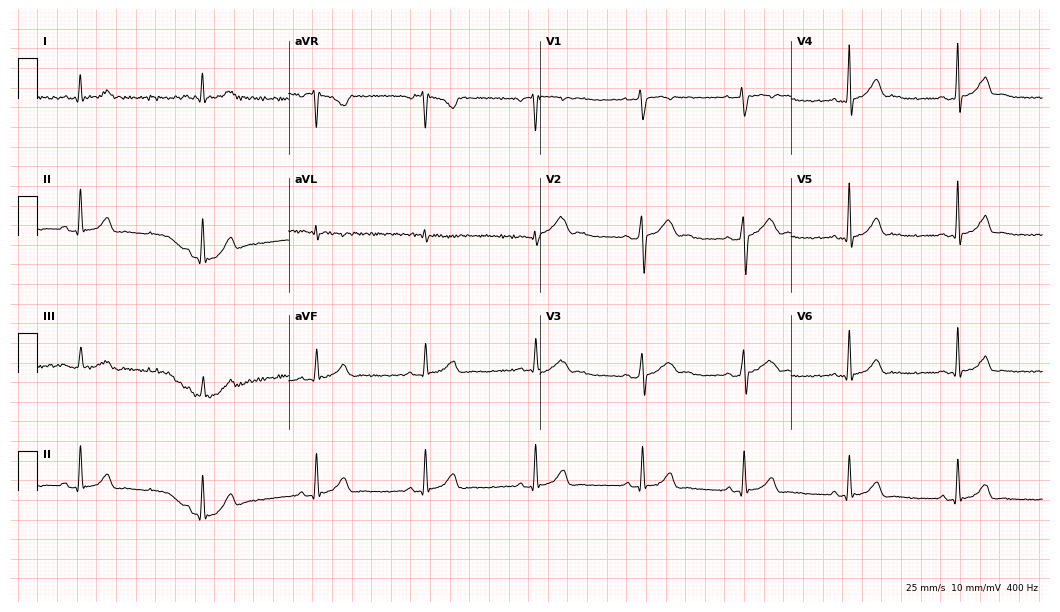
Electrocardiogram (10.2-second recording at 400 Hz), a 19-year-old female patient. Overall reading on record: normal ECG.